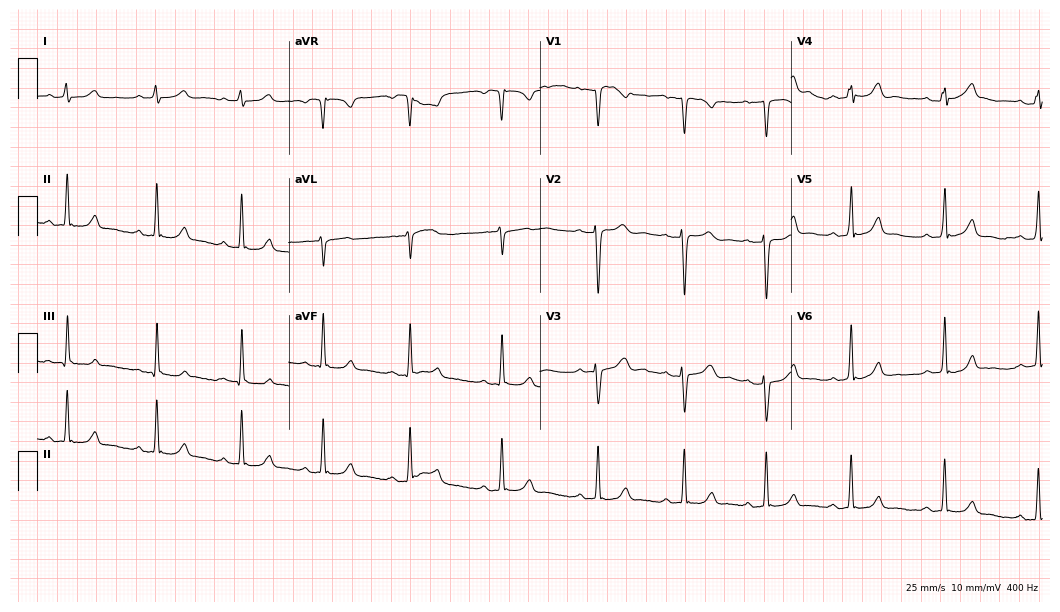
Resting 12-lead electrocardiogram. Patient: a 25-year-old woman. Read as a normal ECG.